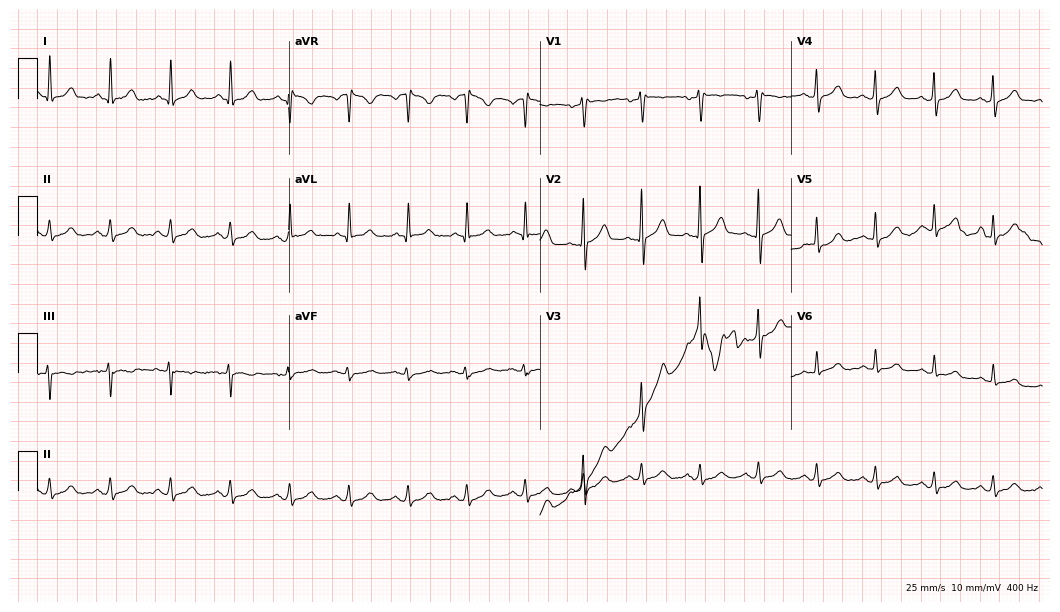
12-lead ECG (10.2-second recording at 400 Hz) from a 49-year-old male. Labelled as a normal ECG.